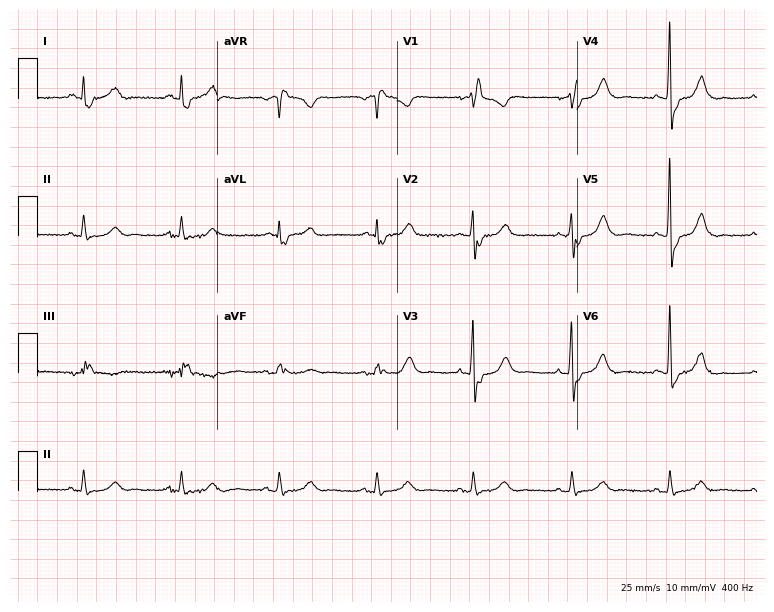
ECG (7.3-second recording at 400 Hz) — a man, 83 years old. Findings include right bundle branch block.